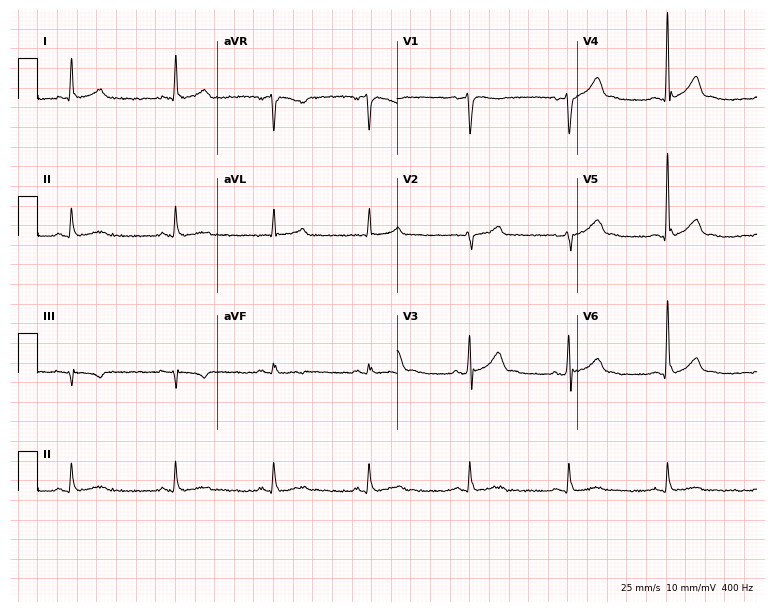
Resting 12-lead electrocardiogram (7.3-second recording at 400 Hz). Patient: a 60-year-old male. Read as a normal ECG.